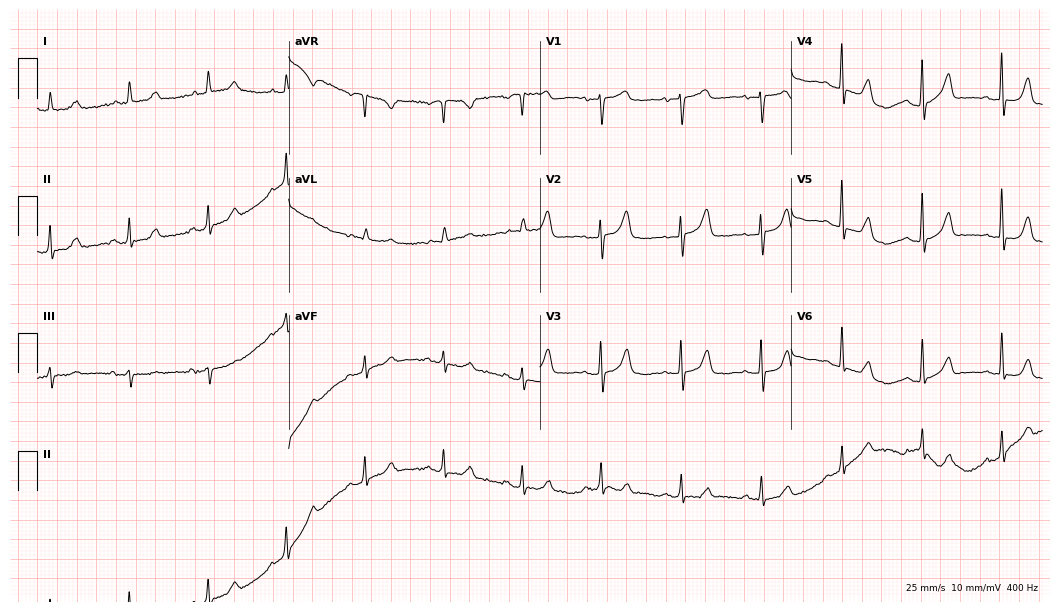
Standard 12-lead ECG recorded from a woman, 81 years old (10.2-second recording at 400 Hz). Read as a normal ECG.